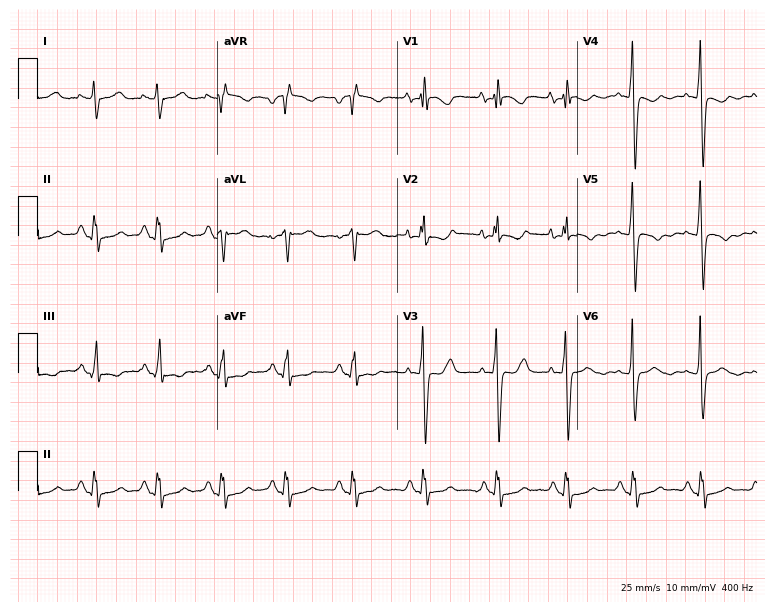
12-lead ECG (7.3-second recording at 400 Hz) from a female, 34 years old. Screened for six findings — first-degree AV block, right bundle branch block, left bundle branch block, sinus bradycardia, atrial fibrillation, sinus tachycardia — none is recorded.